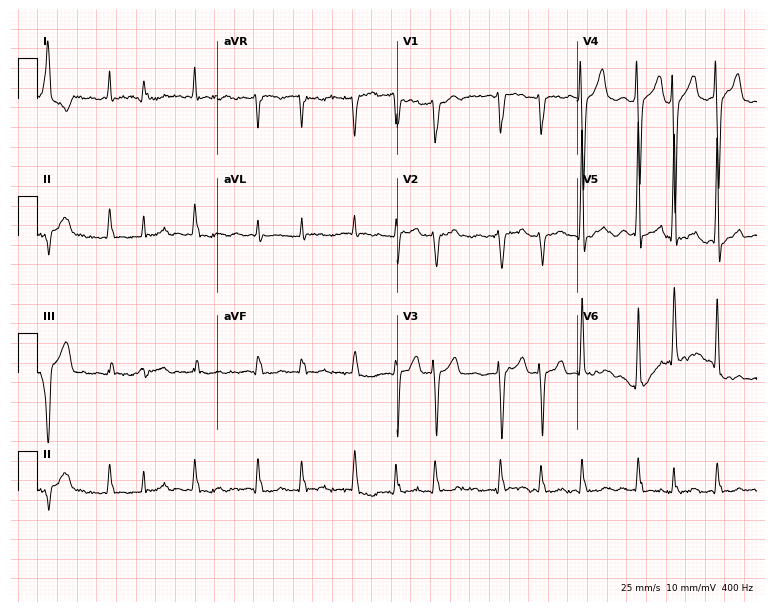
Resting 12-lead electrocardiogram (7.3-second recording at 400 Hz). Patient: a male, 80 years old. The tracing shows atrial fibrillation.